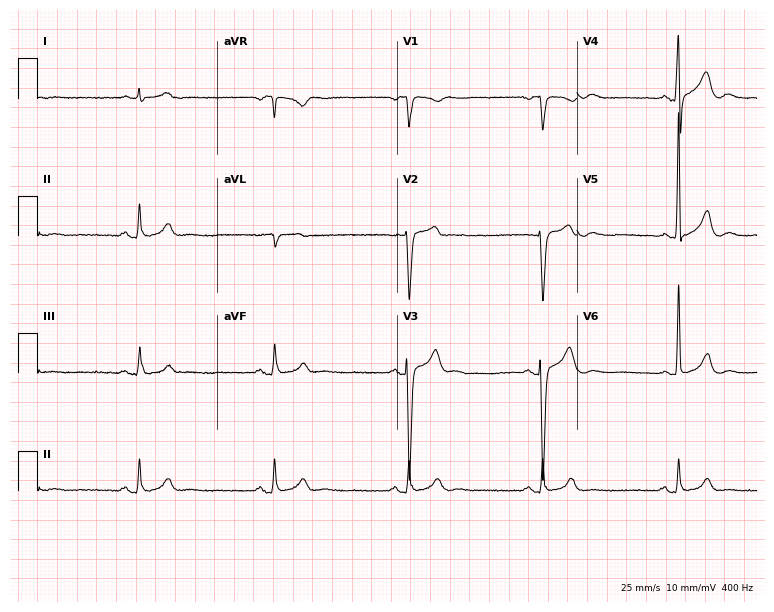
12-lead ECG from a man, 50 years old. Findings include sinus bradycardia (a sinus rate of 50 beats per minute or less).